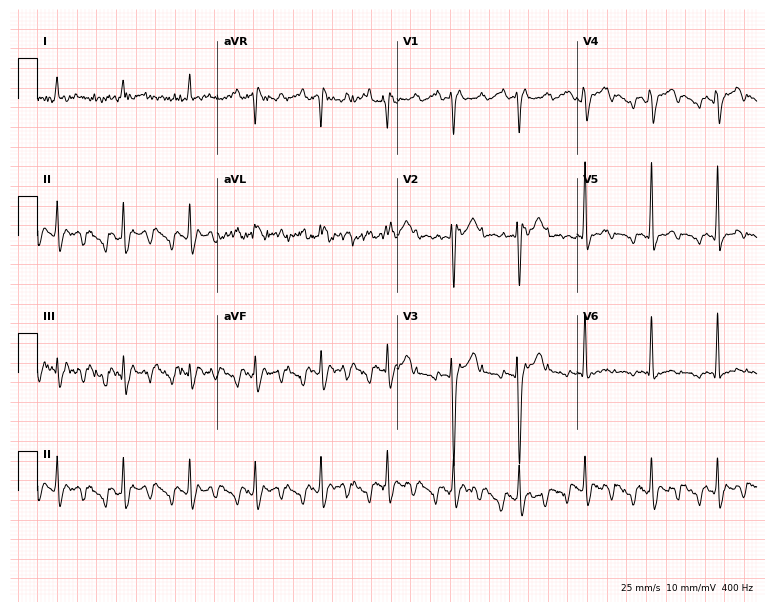
12-lead ECG from an 81-year-old man. Screened for six findings — first-degree AV block, right bundle branch block, left bundle branch block, sinus bradycardia, atrial fibrillation, sinus tachycardia — none is recorded. Findings outside these six are not listed.